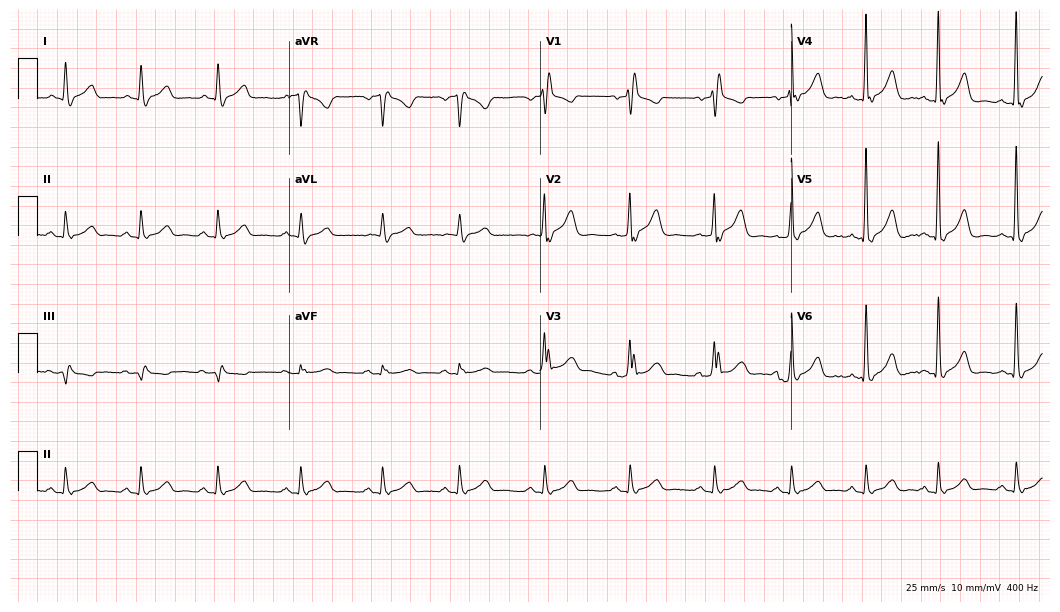
12-lead ECG from a male, 69 years old. Shows right bundle branch block.